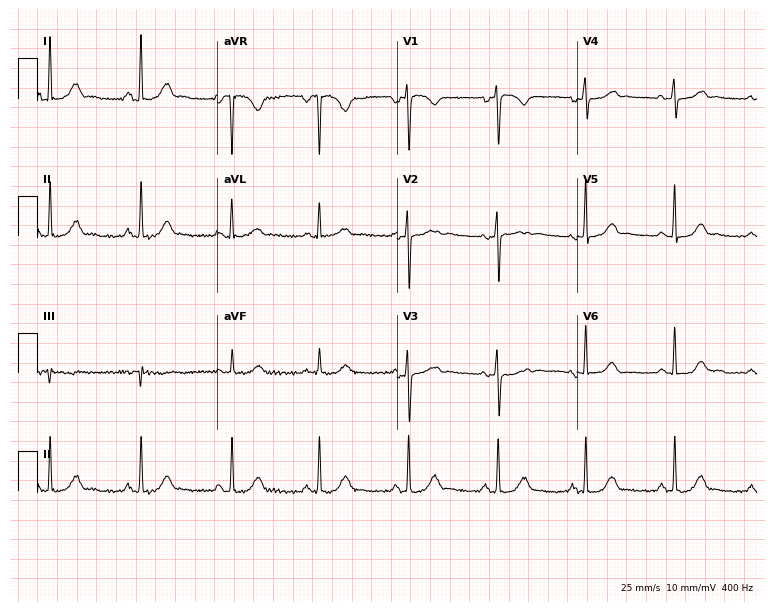
ECG — a woman, 45 years old. Labelled as a normal ECG.